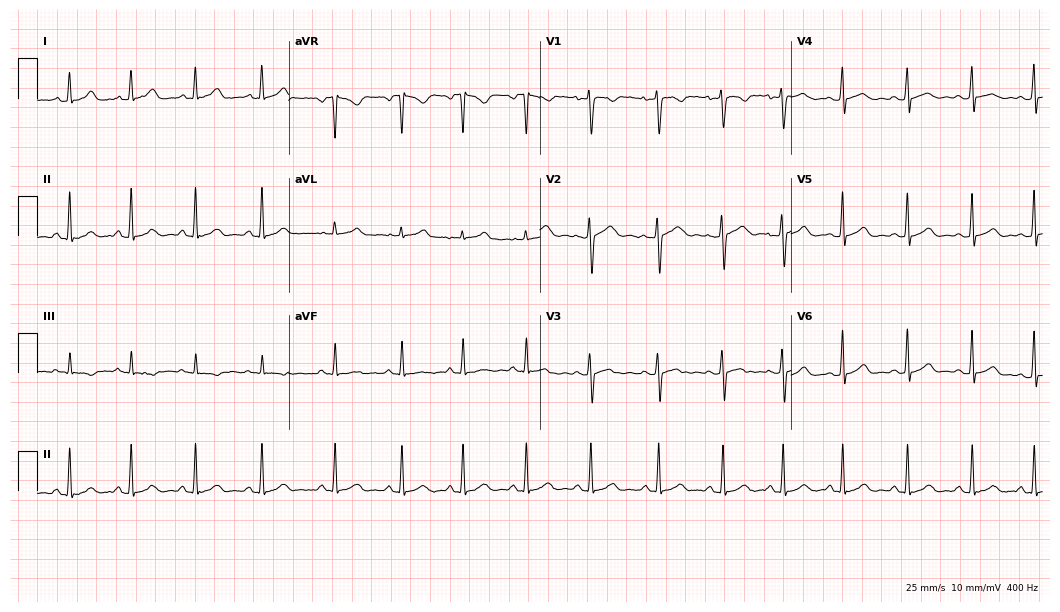
12-lead ECG from a woman, 19 years old. No first-degree AV block, right bundle branch block, left bundle branch block, sinus bradycardia, atrial fibrillation or sinus tachycardia recorded for this tracing.